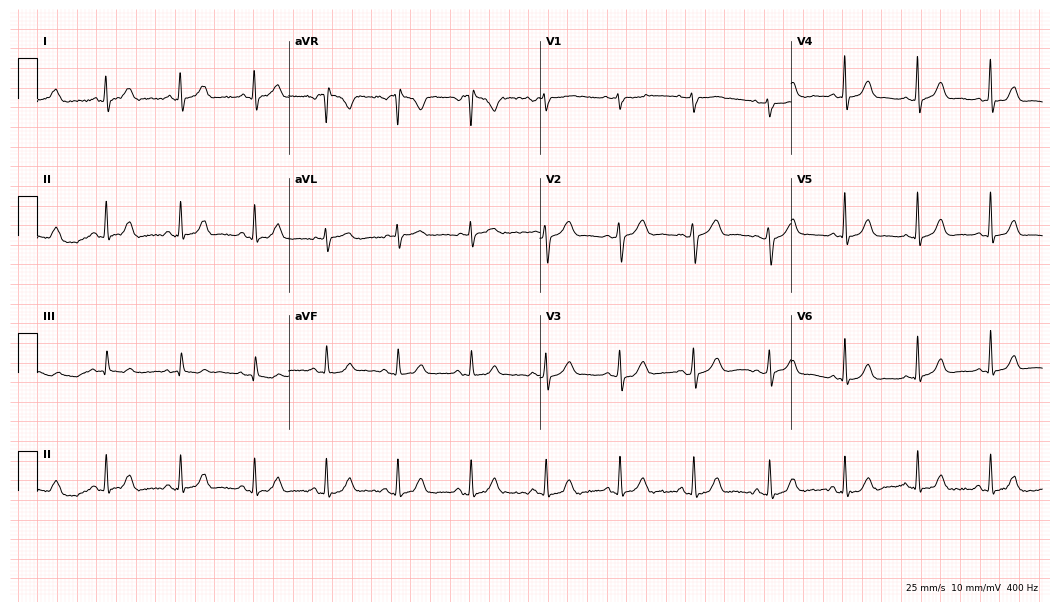
Resting 12-lead electrocardiogram. Patient: a woman, 37 years old. Read as a normal ECG.